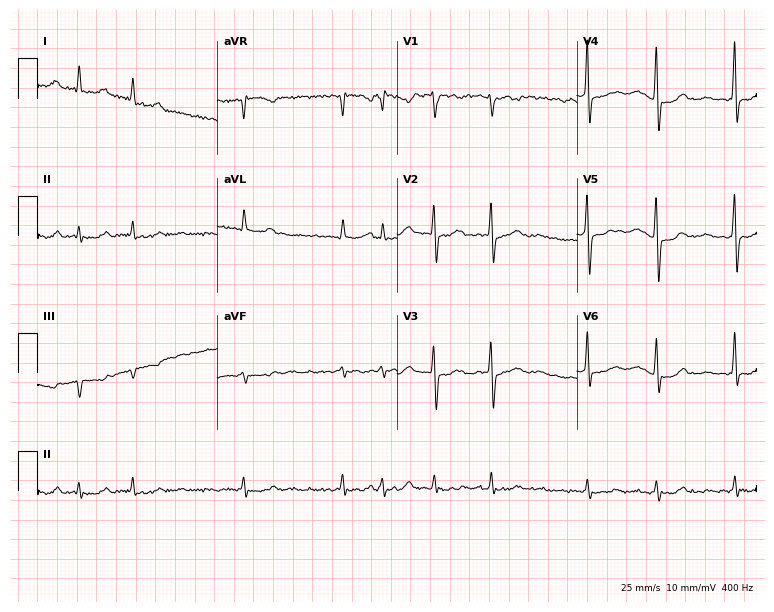
12-lead ECG (7.3-second recording at 400 Hz) from a female patient, 78 years old. Findings include atrial fibrillation.